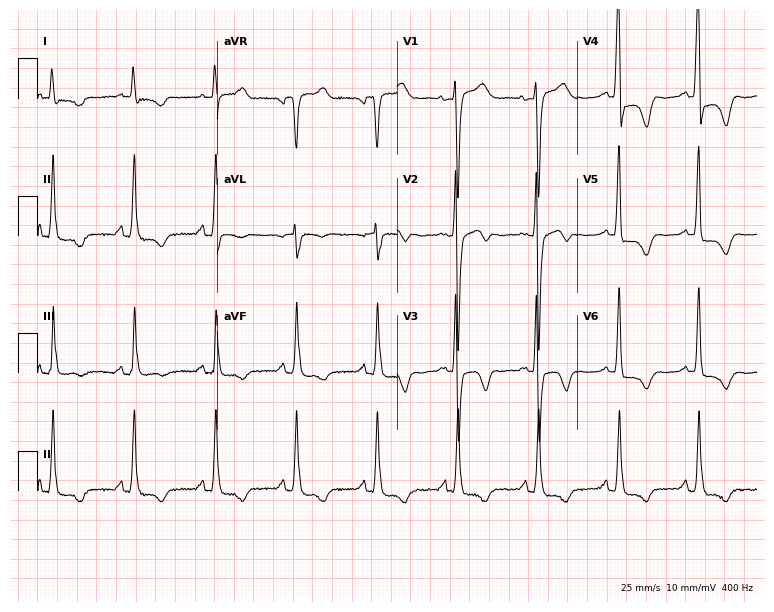
12-lead ECG from a woman, 79 years old. Screened for six findings — first-degree AV block, right bundle branch block, left bundle branch block, sinus bradycardia, atrial fibrillation, sinus tachycardia — none is recorded. Other findings, if any, are not listed.